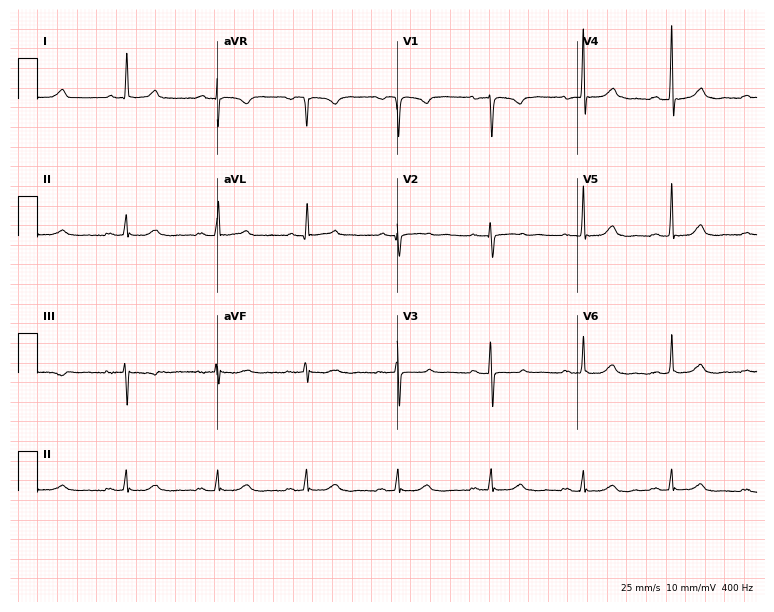
Electrocardiogram, a female patient, 57 years old. Of the six screened findings (first-degree AV block, right bundle branch block (RBBB), left bundle branch block (LBBB), sinus bradycardia, atrial fibrillation (AF), sinus tachycardia), none is recorded.